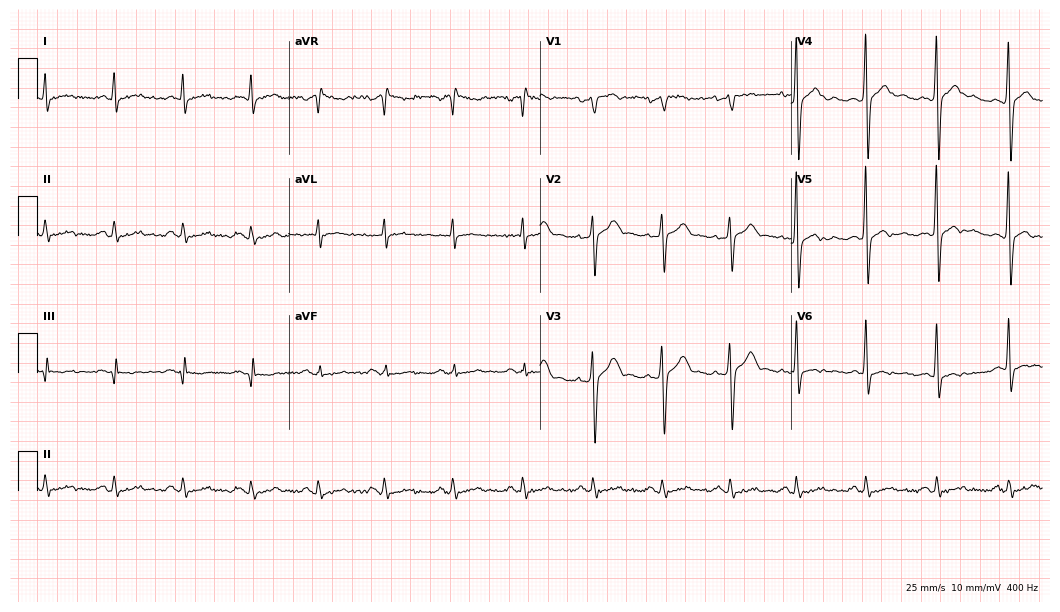
12-lead ECG (10.2-second recording at 400 Hz) from a 48-year-old male. Screened for six findings — first-degree AV block, right bundle branch block (RBBB), left bundle branch block (LBBB), sinus bradycardia, atrial fibrillation (AF), sinus tachycardia — none is recorded. Other findings, if any, are not listed.